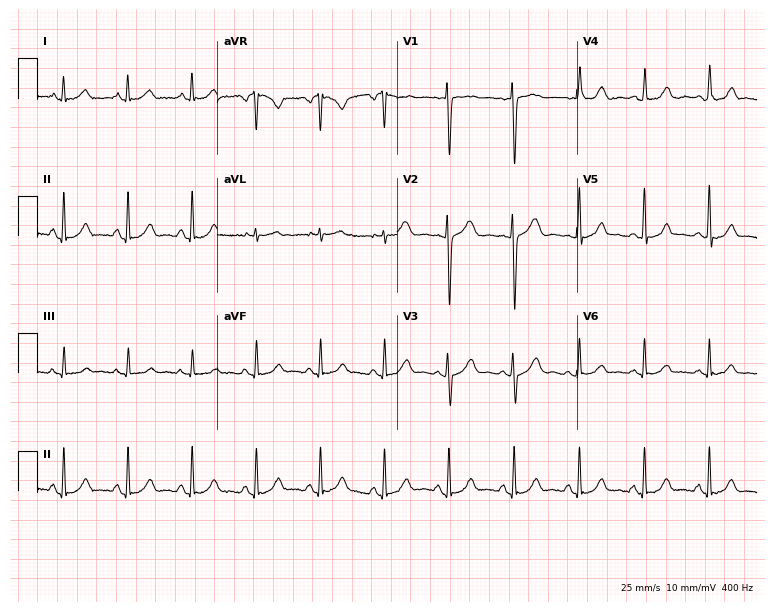
Electrocardiogram, a woman, 59 years old. Of the six screened findings (first-degree AV block, right bundle branch block (RBBB), left bundle branch block (LBBB), sinus bradycardia, atrial fibrillation (AF), sinus tachycardia), none is recorded.